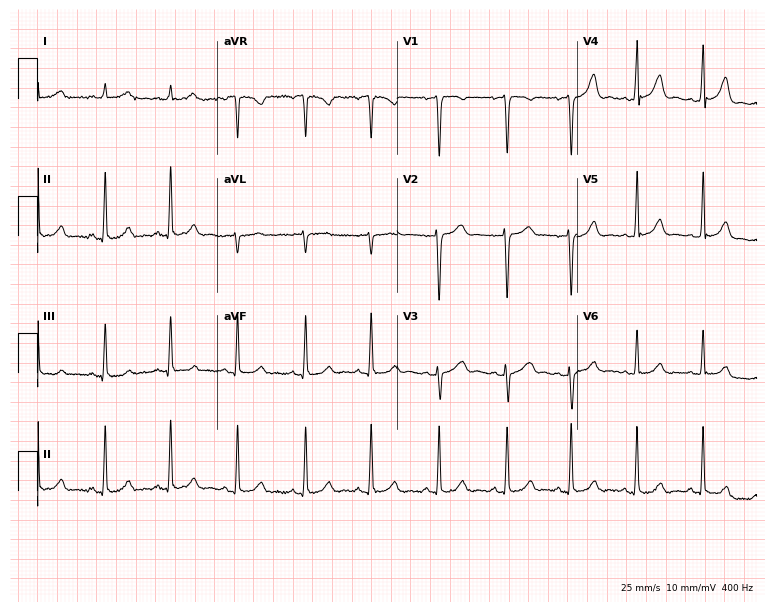
12-lead ECG from a 26-year-old female. No first-degree AV block, right bundle branch block, left bundle branch block, sinus bradycardia, atrial fibrillation or sinus tachycardia recorded for this tracing. Only these six findings were labelled.